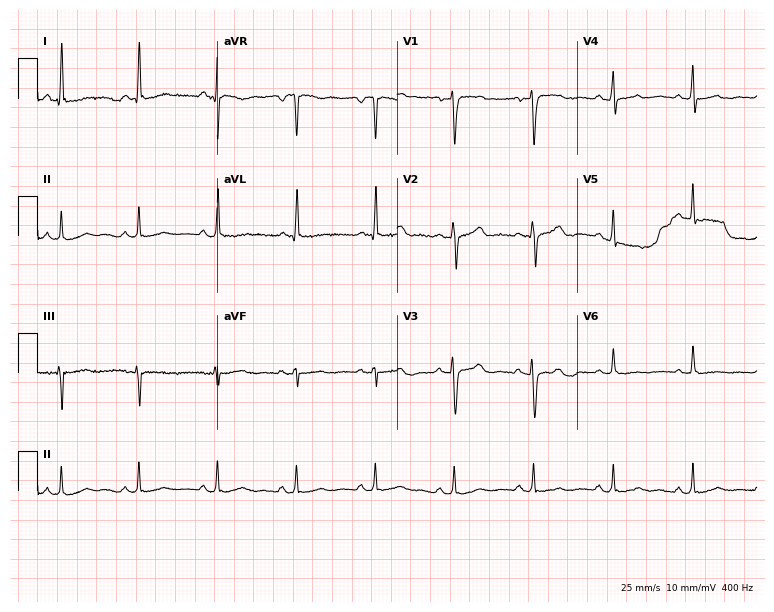
12-lead ECG (7.3-second recording at 400 Hz) from a female patient, 70 years old. Screened for six findings — first-degree AV block, right bundle branch block, left bundle branch block, sinus bradycardia, atrial fibrillation, sinus tachycardia — none is recorded.